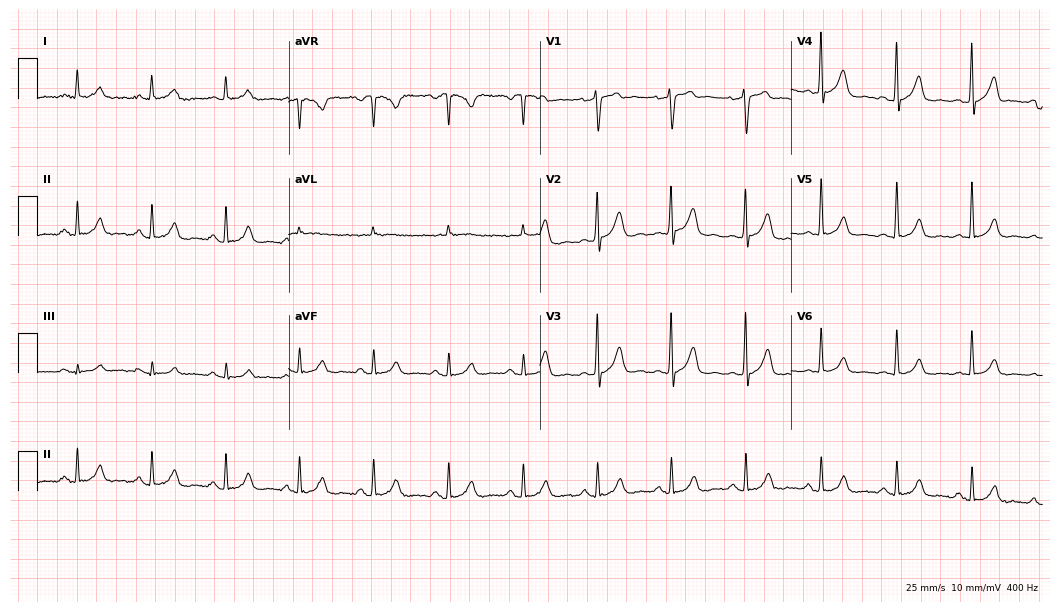
12-lead ECG from a 62-year-old man. Labelled as a normal ECG.